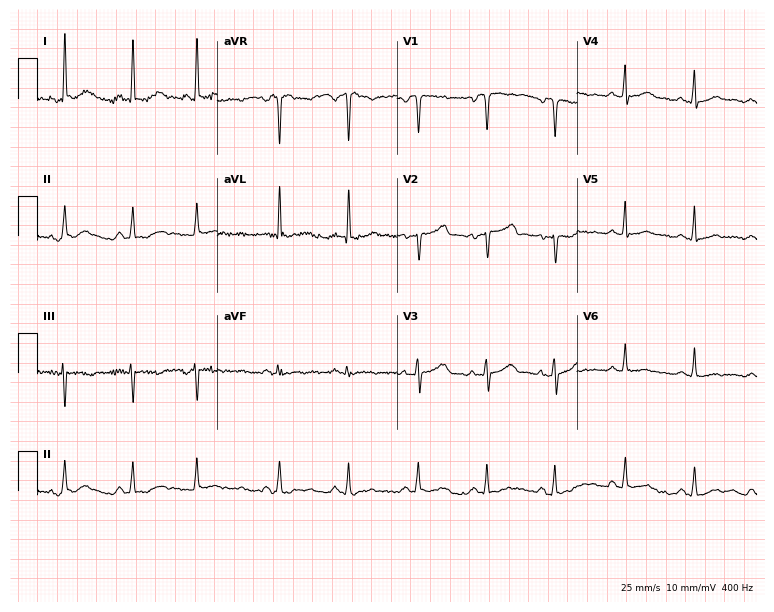
Electrocardiogram (7.3-second recording at 400 Hz), a woman, 56 years old. Of the six screened findings (first-degree AV block, right bundle branch block, left bundle branch block, sinus bradycardia, atrial fibrillation, sinus tachycardia), none is recorded.